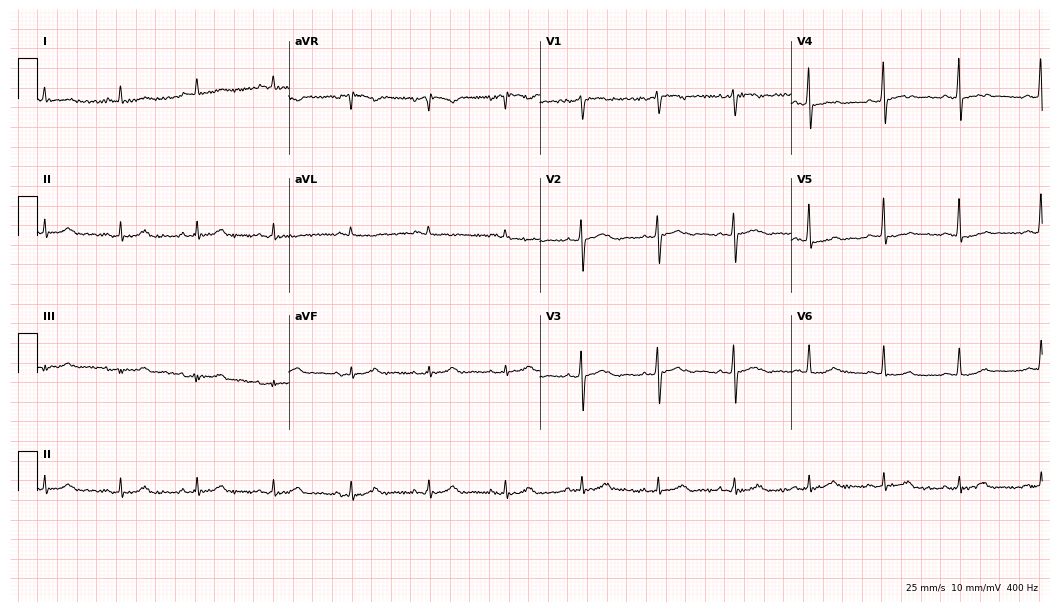
ECG — a female, 85 years old. Screened for six findings — first-degree AV block, right bundle branch block (RBBB), left bundle branch block (LBBB), sinus bradycardia, atrial fibrillation (AF), sinus tachycardia — none is recorded. Other findings, if any, are not listed.